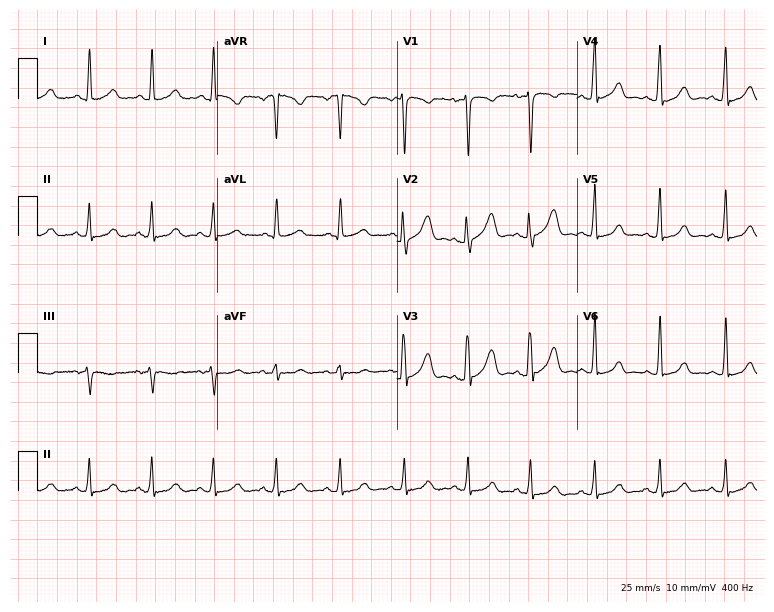
Standard 12-lead ECG recorded from a female patient, 31 years old (7.3-second recording at 400 Hz). None of these six findings is recorded: first-degree AV block, right bundle branch block (RBBB), left bundle branch block (LBBB), sinus bradycardia, atrial fibrillation (AF), sinus tachycardia. Findings outside these six are not listed.